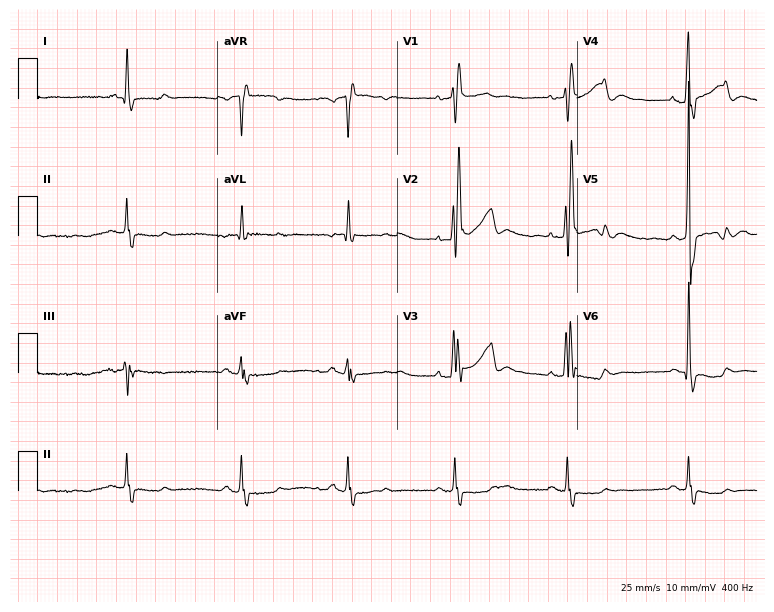
12-lead ECG from an 83-year-old man. Shows right bundle branch block (RBBB).